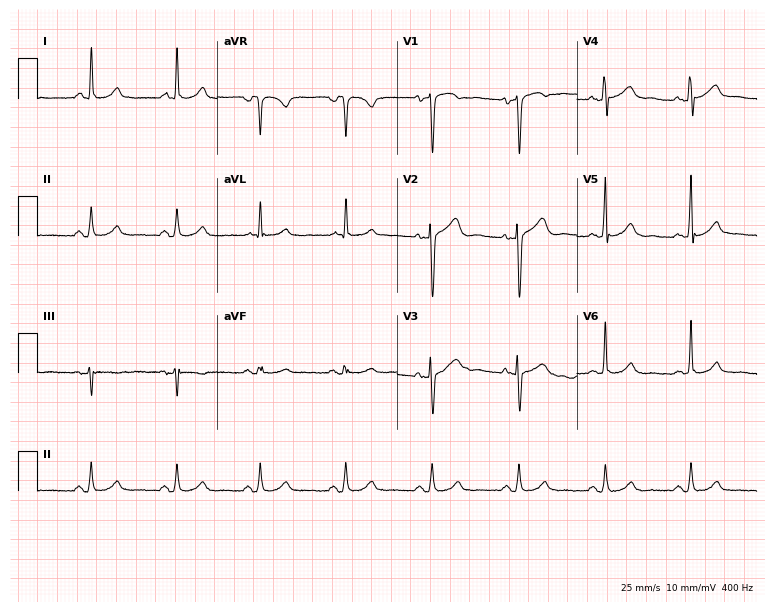
Electrocardiogram, a 49-year-old male. Overall reading on record: normal ECG.